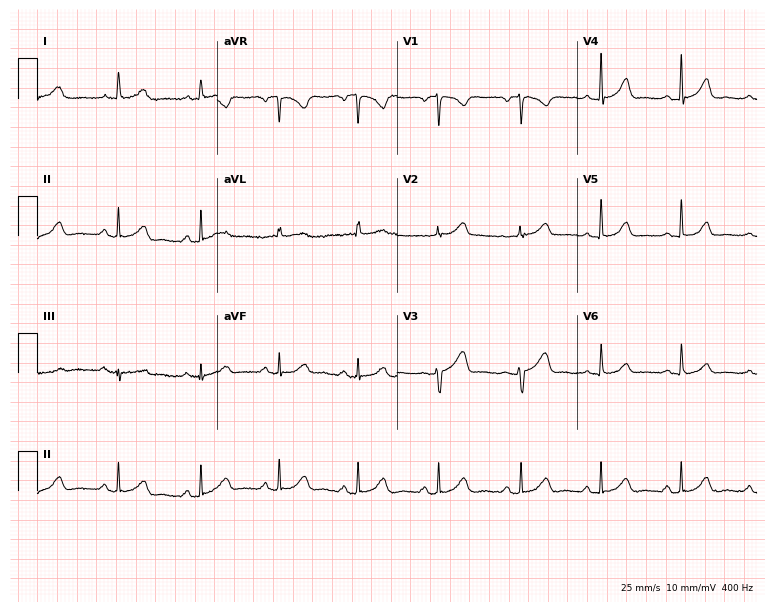
ECG — a female patient, 41 years old. Labelled as a normal ECG.